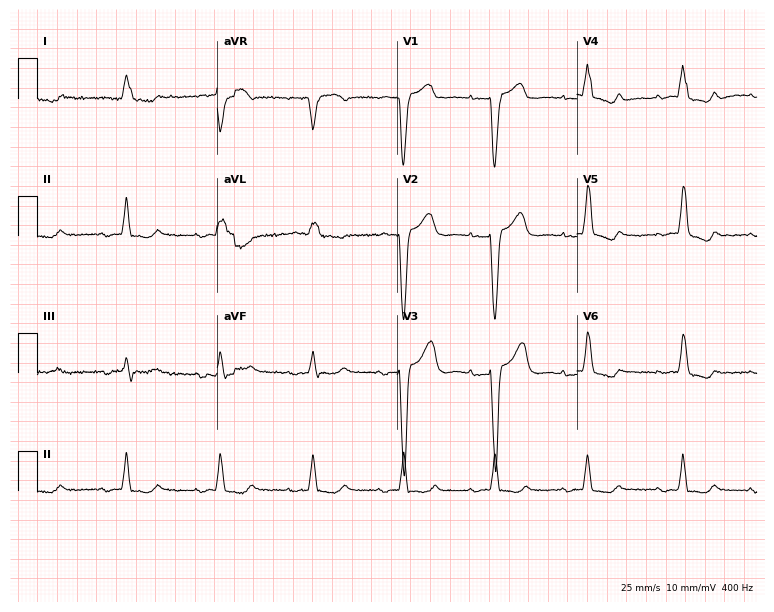
ECG (7.3-second recording at 400 Hz) — an 85-year-old female patient. Findings include first-degree AV block, left bundle branch block.